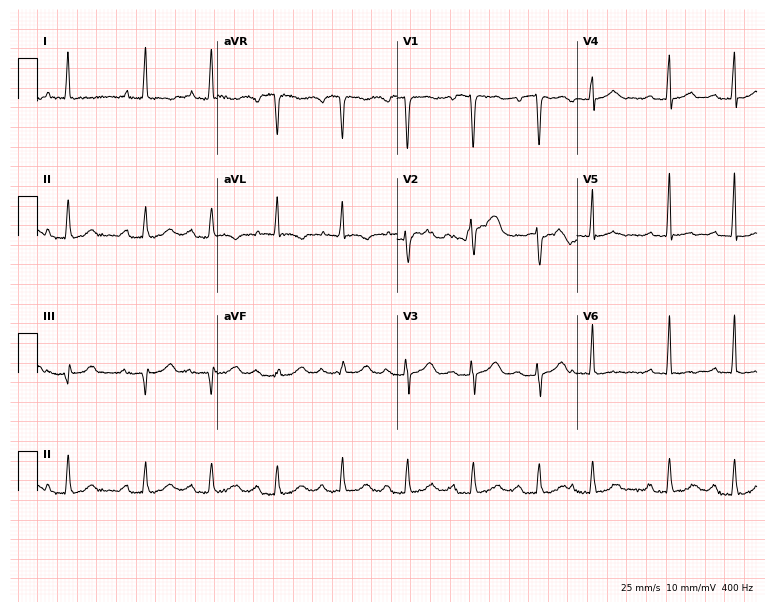
Electrocardiogram (7.3-second recording at 400 Hz), an 82-year-old woman. Interpretation includes first-degree AV block.